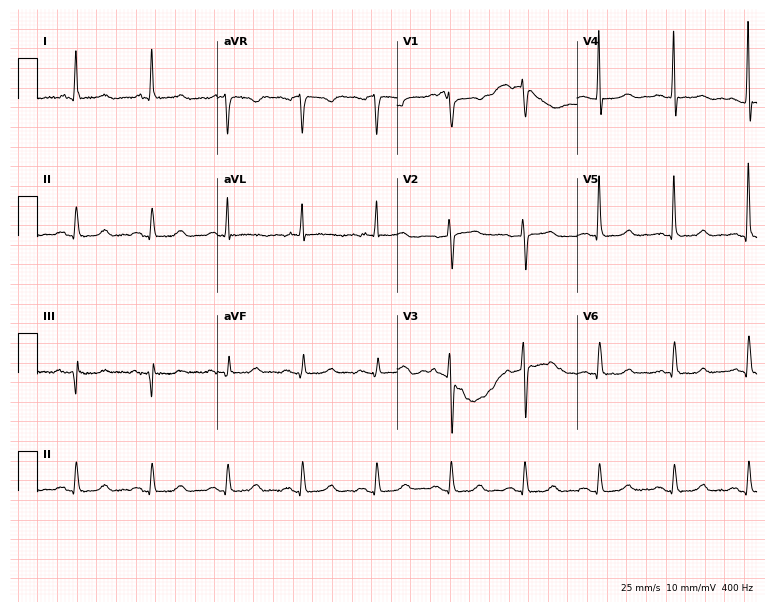
Electrocardiogram (7.3-second recording at 400 Hz), a female, 76 years old. Of the six screened findings (first-degree AV block, right bundle branch block (RBBB), left bundle branch block (LBBB), sinus bradycardia, atrial fibrillation (AF), sinus tachycardia), none is recorded.